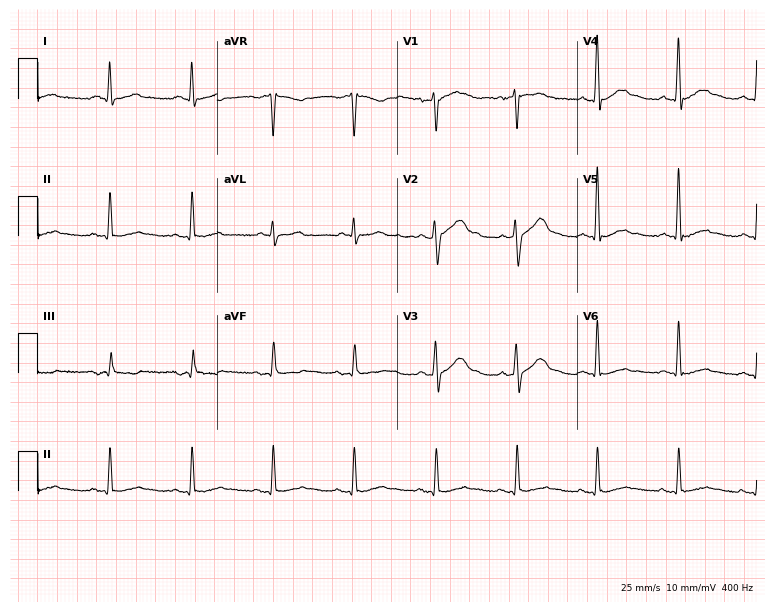
12-lead ECG from a 69-year-old male patient (7.3-second recording at 400 Hz). Recorded interpretation: within normal limits.